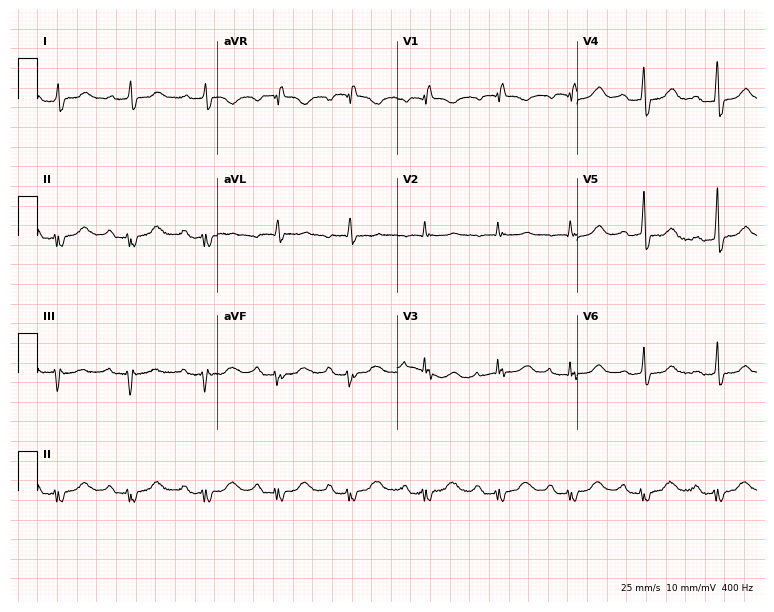
Electrocardiogram (7.3-second recording at 400 Hz), a woman, 81 years old. Interpretation includes first-degree AV block.